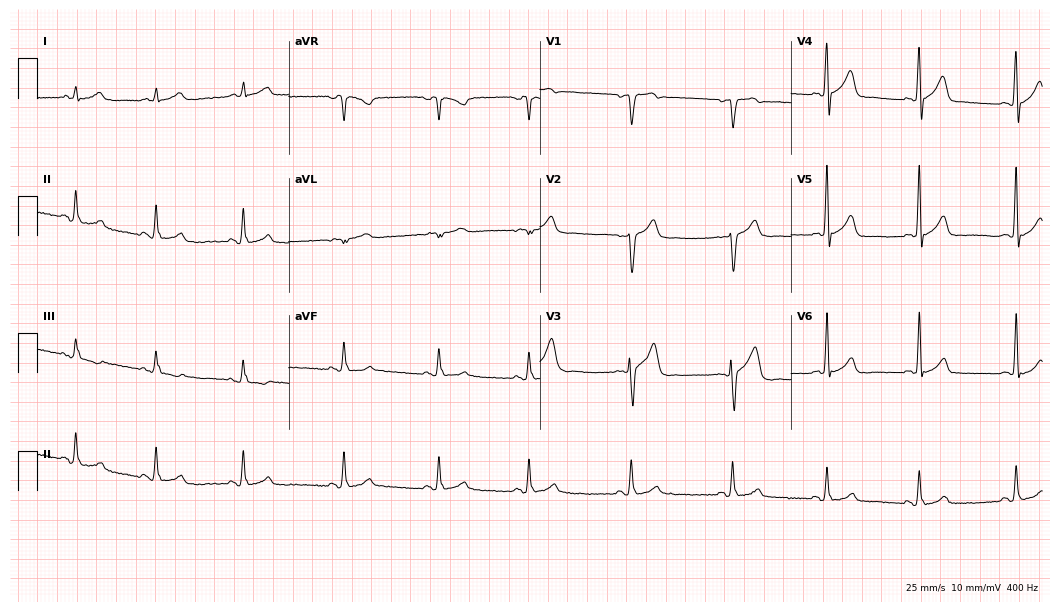
Electrocardiogram, a male patient, 57 years old. Overall reading on record: normal ECG.